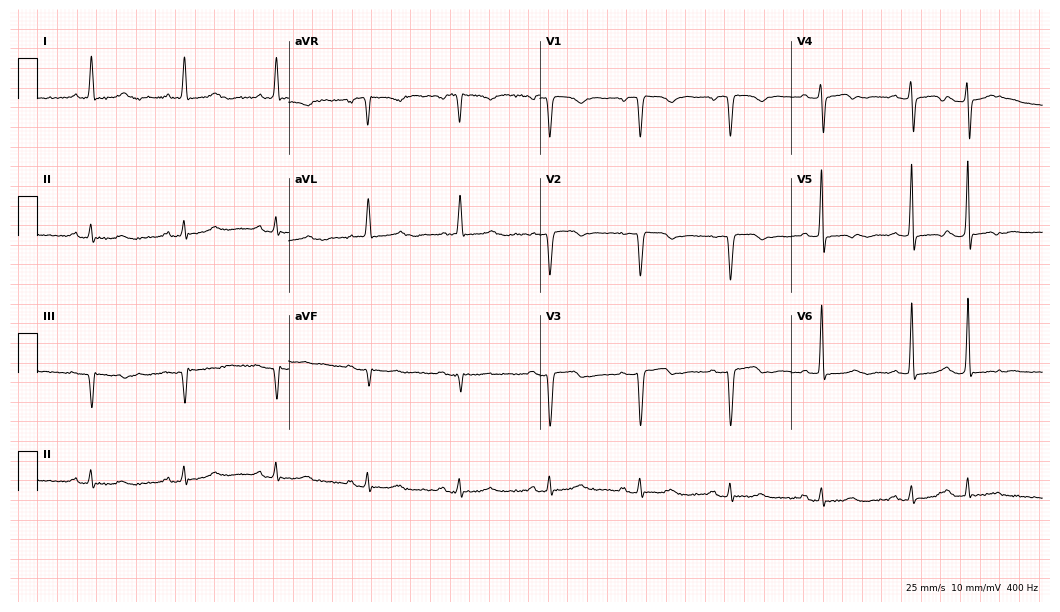
ECG (10.2-second recording at 400 Hz) — a 78-year-old female. Screened for six findings — first-degree AV block, right bundle branch block, left bundle branch block, sinus bradycardia, atrial fibrillation, sinus tachycardia — none is recorded. Only these six findings were labelled.